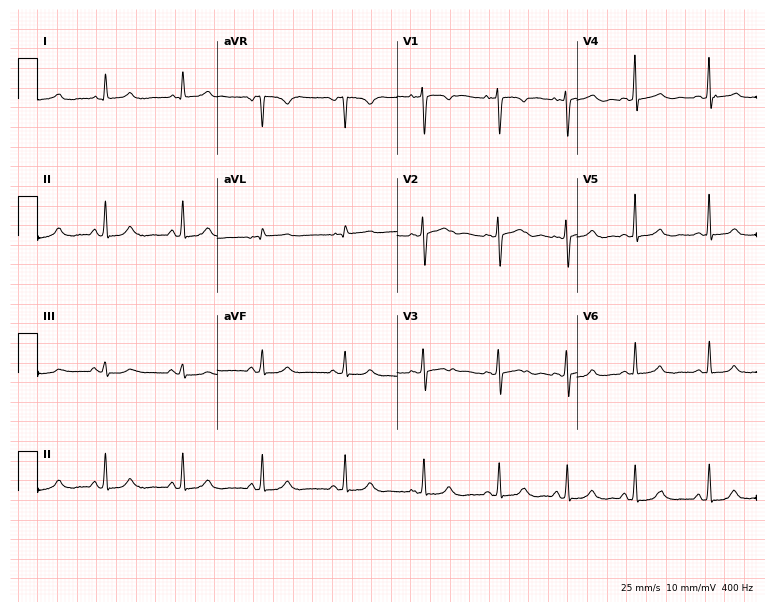
12-lead ECG from a 27-year-old female patient (7.3-second recording at 400 Hz). No first-degree AV block, right bundle branch block, left bundle branch block, sinus bradycardia, atrial fibrillation or sinus tachycardia recorded for this tracing. Other findings, if any, are not listed.